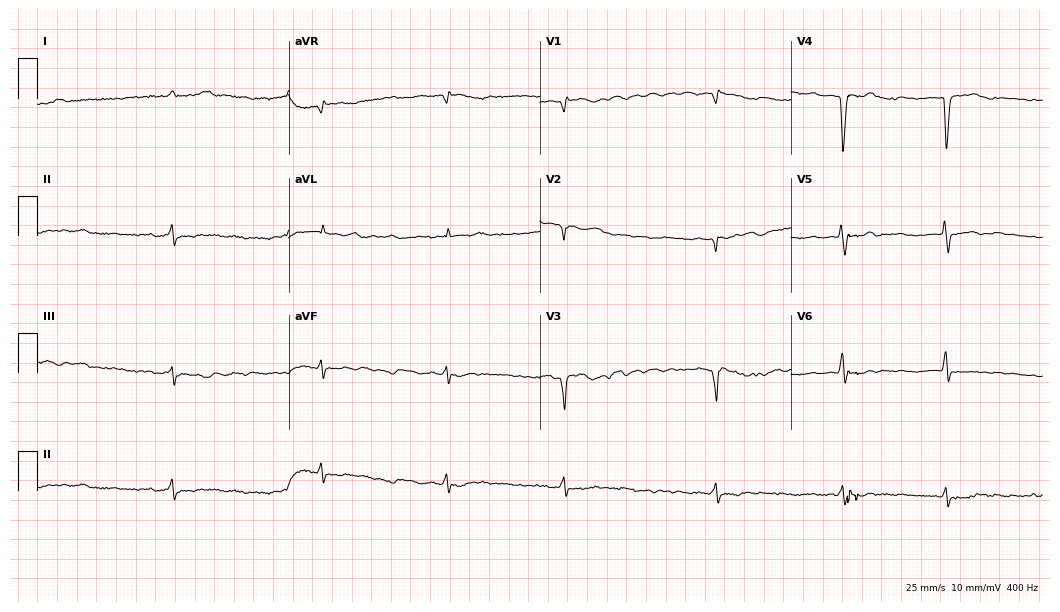
Resting 12-lead electrocardiogram. Patient: an 82-year-old female. The tracing shows atrial fibrillation.